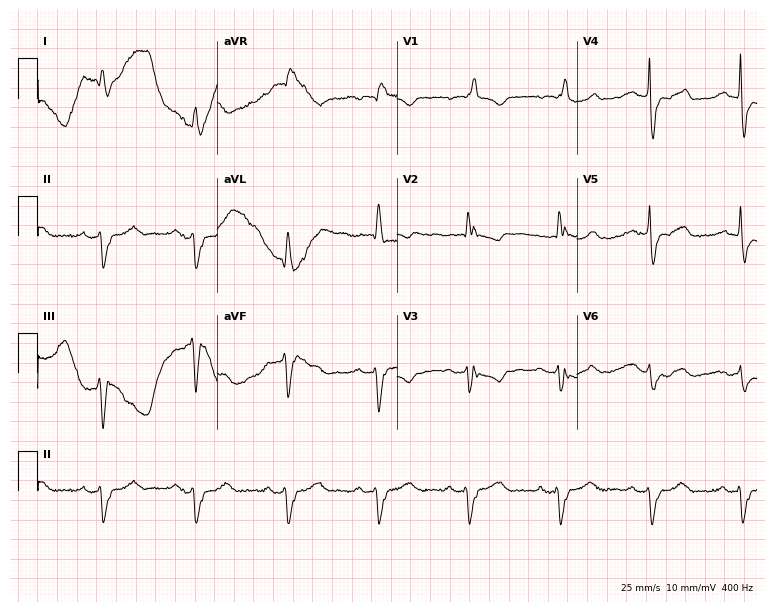
Standard 12-lead ECG recorded from a female patient, 73 years old. The tracing shows right bundle branch block.